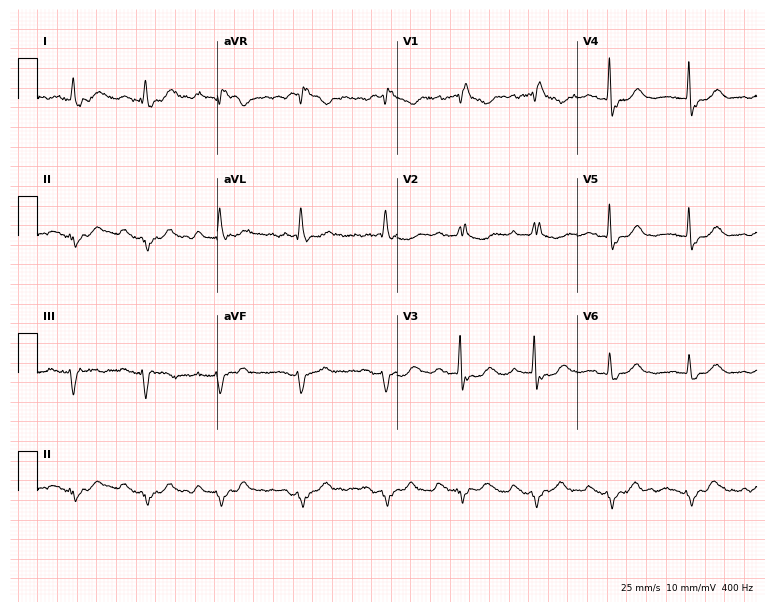
Electrocardiogram, a female, 78 years old. Interpretation includes right bundle branch block (RBBB).